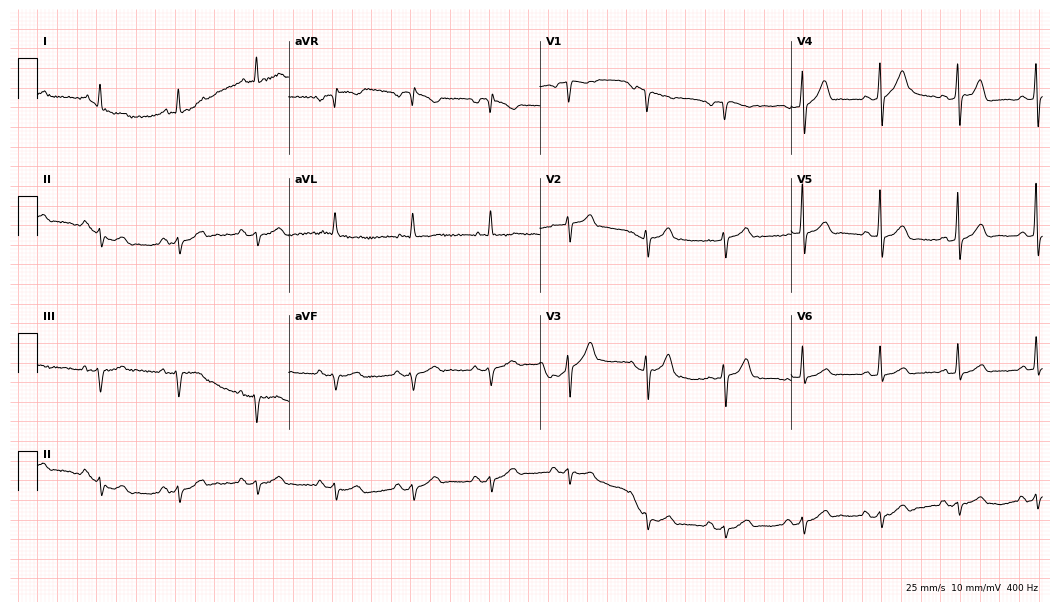
Resting 12-lead electrocardiogram (10.2-second recording at 400 Hz). Patient: a male, 66 years old. Read as a normal ECG.